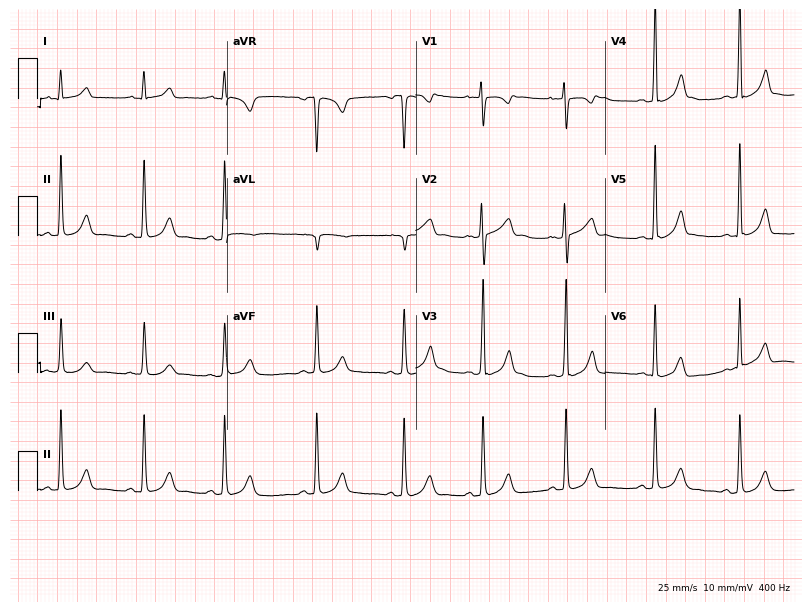
ECG (7.7-second recording at 400 Hz) — a 25-year-old female patient. Labelled as a normal ECG.